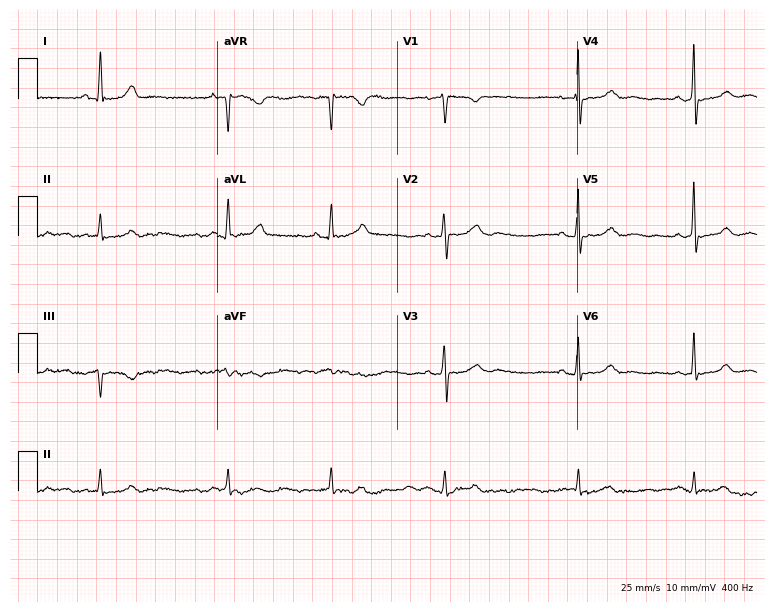
12-lead ECG from a woman, 49 years old. Recorded interpretation: within normal limits.